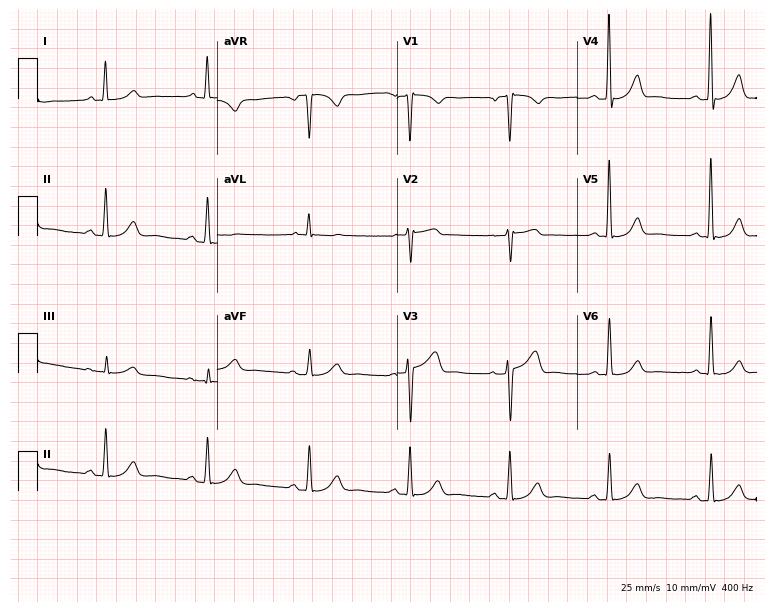
Standard 12-lead ECG recorded from a male patient, 64 years old (7.3-second recording at 400 Hz). None of these six findings is recorded: first-degree AV block, right bundle branch block, left bundle branch block, sinus bradycardia, atrial fibrillation, sinus tachycardia.